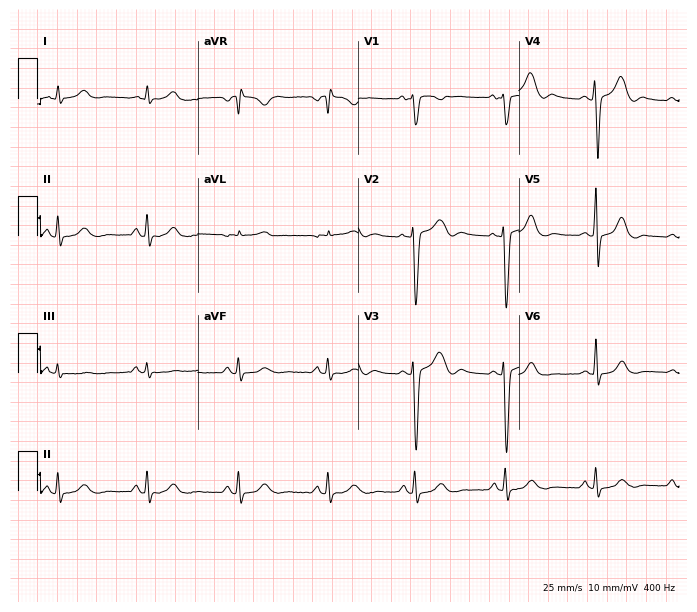
ECG (6.5-second recording at 400 Hz) — a 40-year-old male. Screened for six findings — first-degree AV block, right bundle branch block, left bundle branch block, sinus bradycardia, atrial fibrillation, sinus tachycardia — none is recorded. Findings outside these six are not listed.